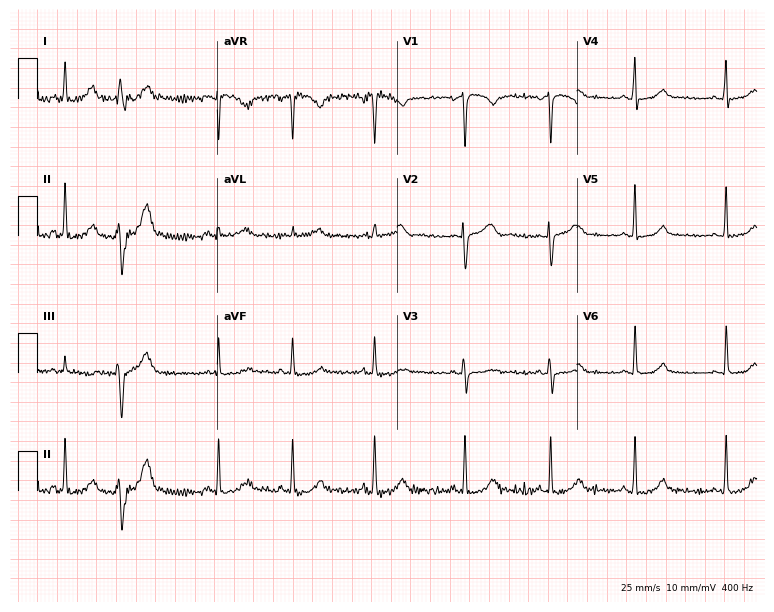
12-lead ECG (7.3-second recording at 400 Hz) from a 23-year-old female patient. Screened for six findings — first-degree AV block, right bundle branch block, left bundle branch block, sinus bradycardia, atrial fibrillation, sinus tachycardia — none is recorded.